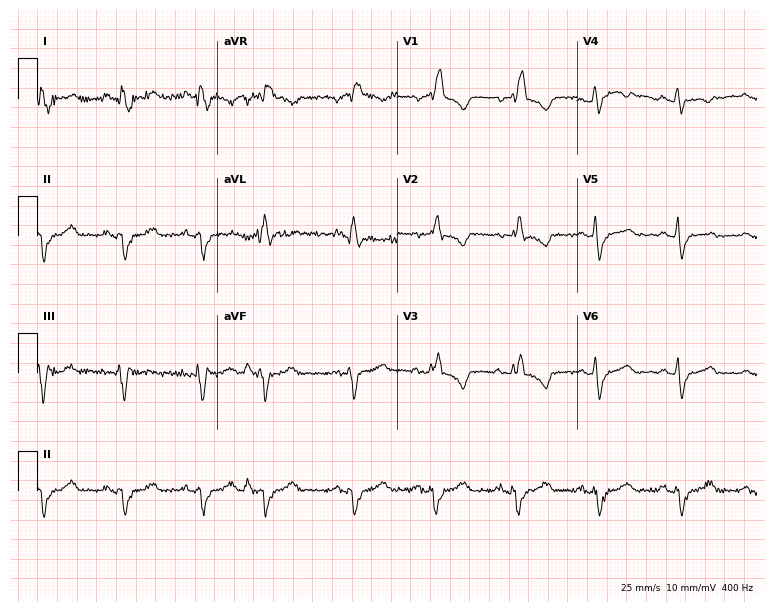
Electrocardiogram (7.3-second recording at 400 Hz), a 66-year-old female patient. Interpretation includes right bundle branch block.